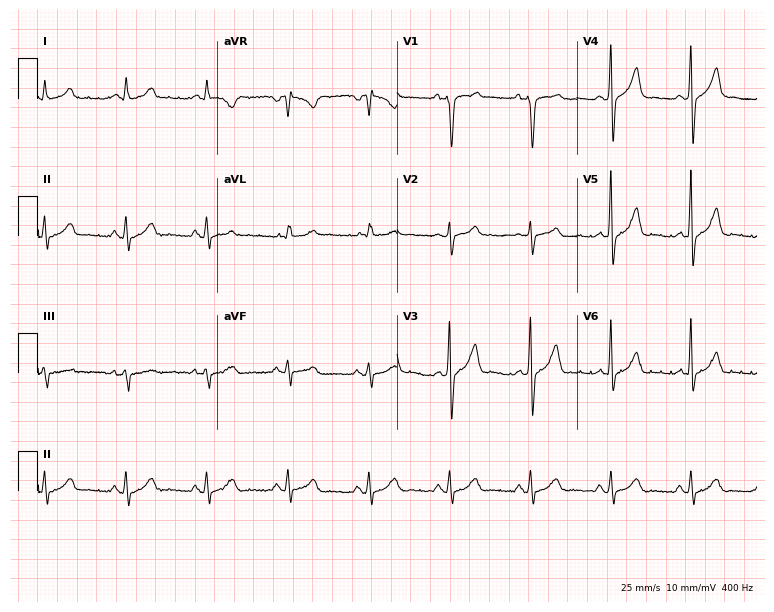
12-lead ECG from a 60-year-old male patient. Screened for six findings — first-degree AV block, right bundle branch block, left bundle branch block, sinus bradycardia, atrial fibrillation, sinus tachycardia — none is recorded. Other findings, if any, are not listed.